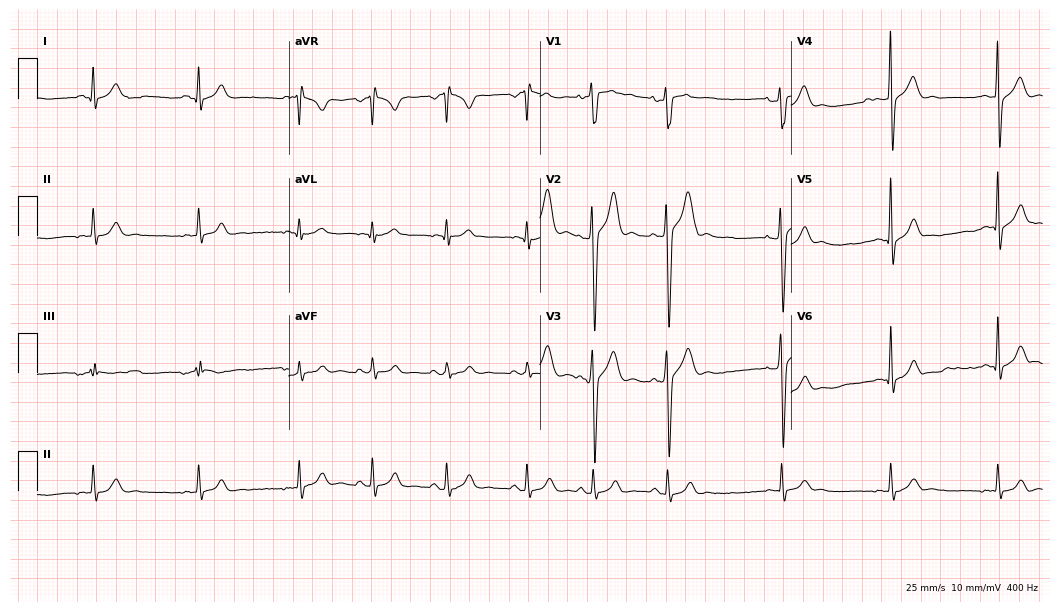
12-lead ECG from a 28-year-old male patient. Recorded interpretation: within normal limits.